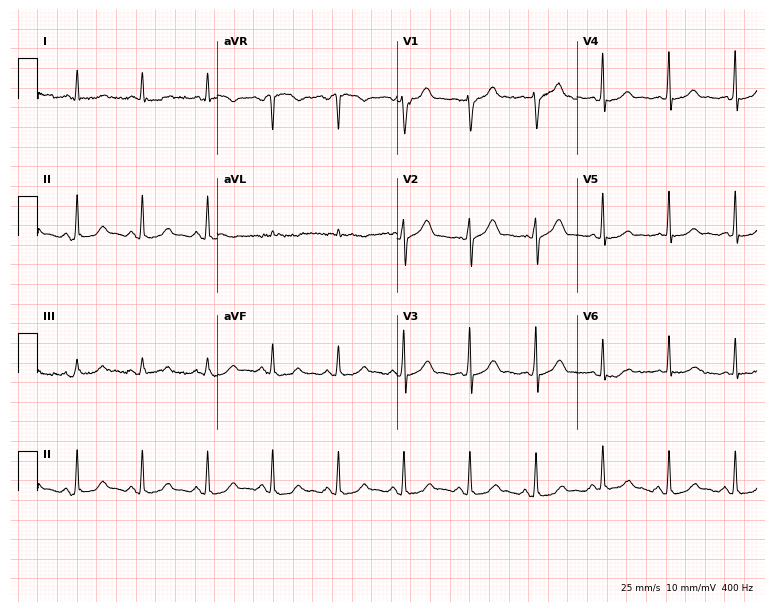
12-lead ECG from a man, 74 years old. Recorded interpretation: within normal limits.